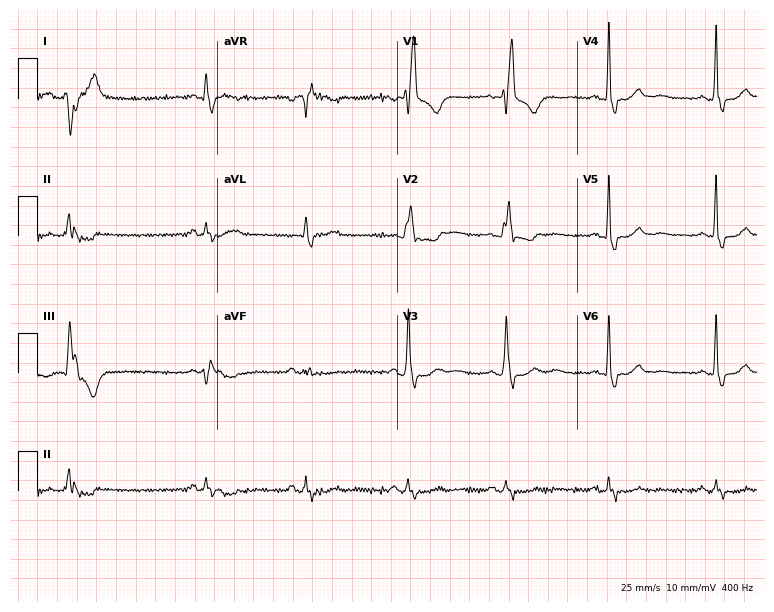
ECG — a female patient, 55 years old. Findings include right bundle branch block (RBBB).